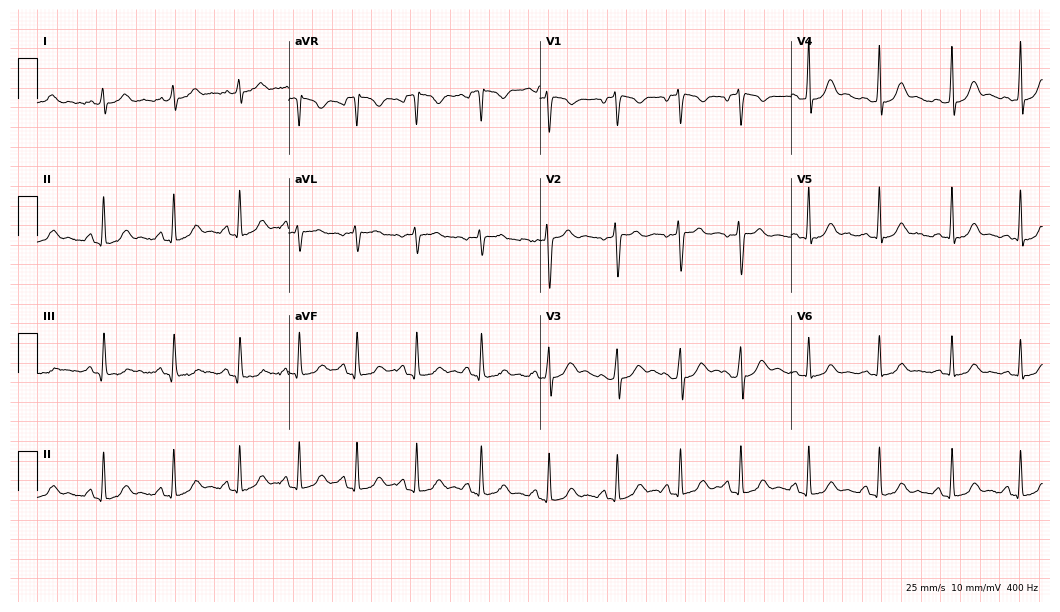
ECG (10.2-second recording at 400 Hz) — a female patient, 22 years old. Labelled as a normal ECG.